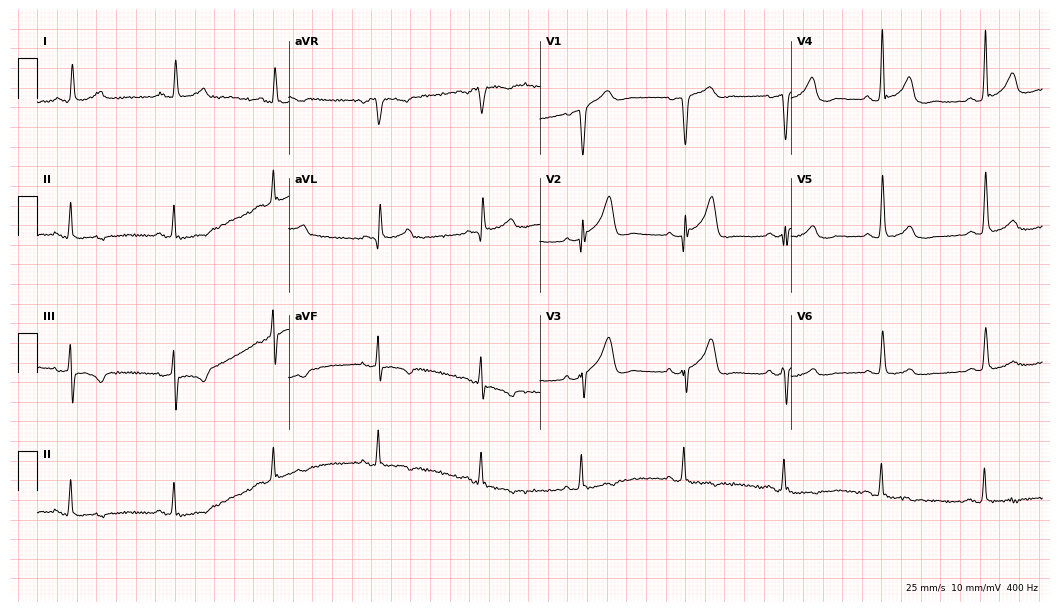
Resting 12-lead electrocardiogram. Patient: a man, 79 years old. None of these six findings is recorded: first-degree AV block, right bundle branch block, left bundle branch block, sinus bradycardia, atrial fibrillation, sinus tachycardia. Findings outside these six are not listed.